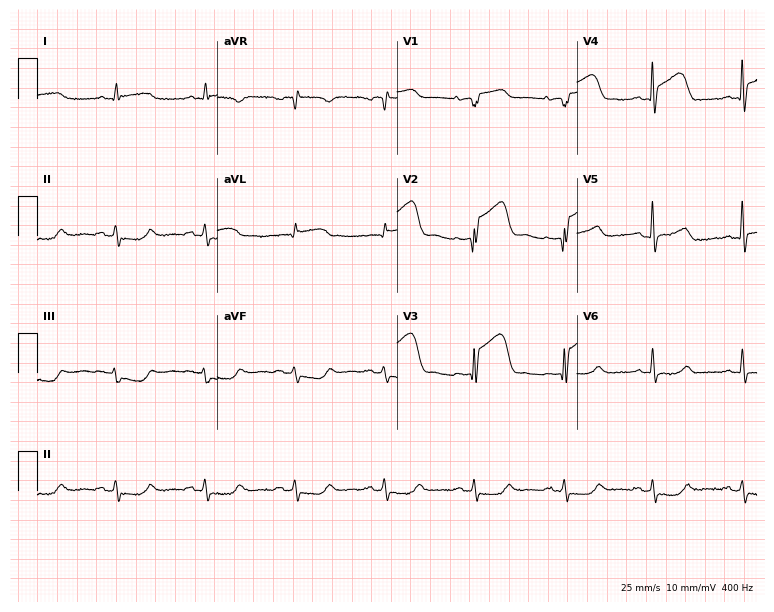
ECG — a 78-year-old male. Screened for six findings — first-degree AV block, right bundle branch block, left bundle branch block, sinus bradycardia, atrial fibrillation, sinus tachycardia — none is recorded.